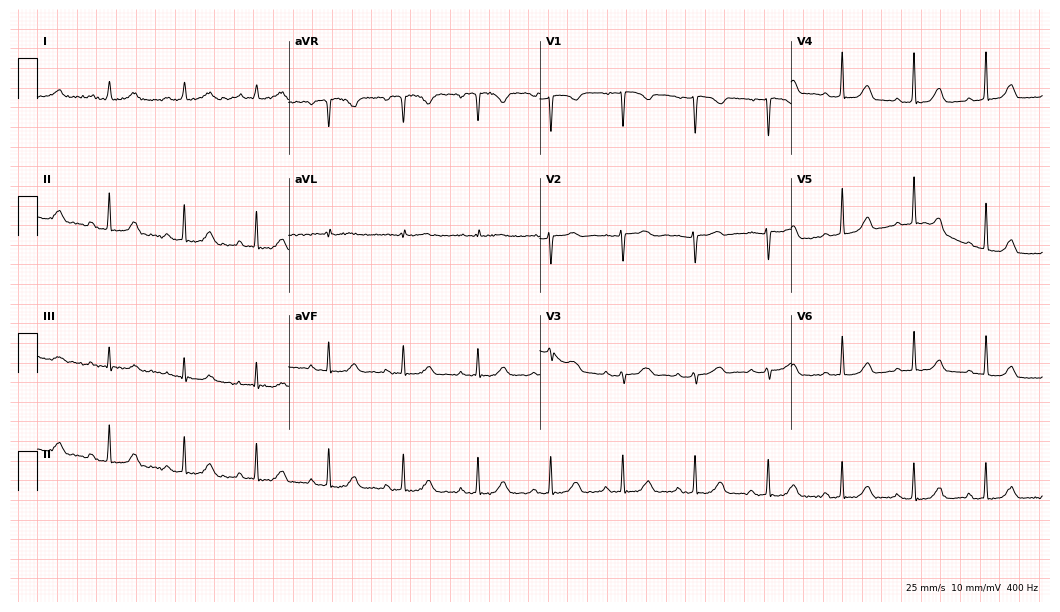
12-lead ECG from a 41-year-old woman (10.2-second recording at 400 Hz). No first-degree AV block, right bundle branch block, left bundle branch block, sinus bradycardia, atrial fibrillation or sinus tachycardia recorded for this tracing. Only these six findings were labelled.